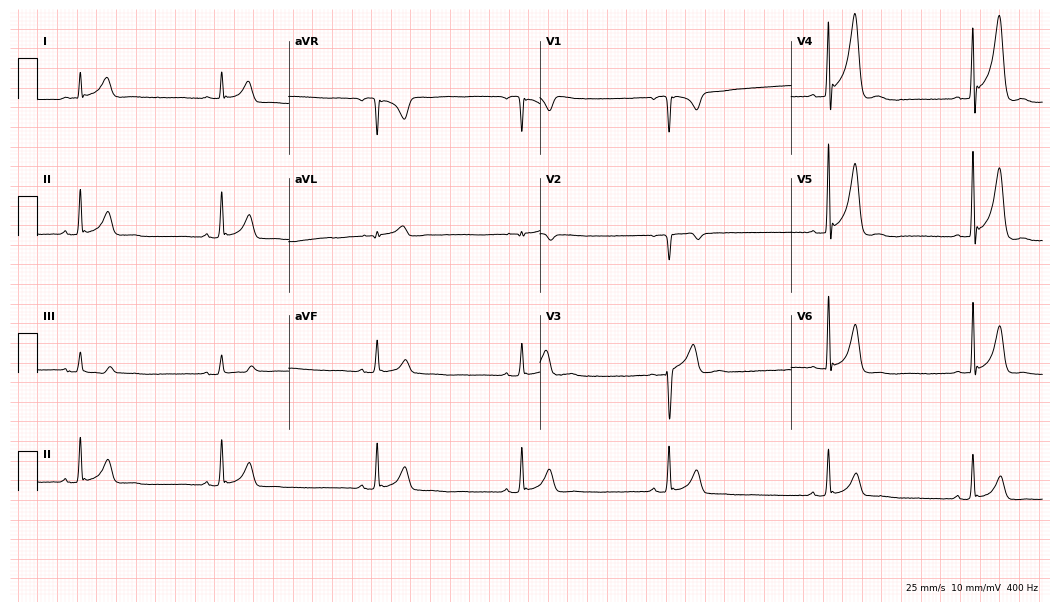
12-lead ECG from a man, 34 years old. Shows sinus bradycardia (a sinus rate of 50 beats per minute or less).